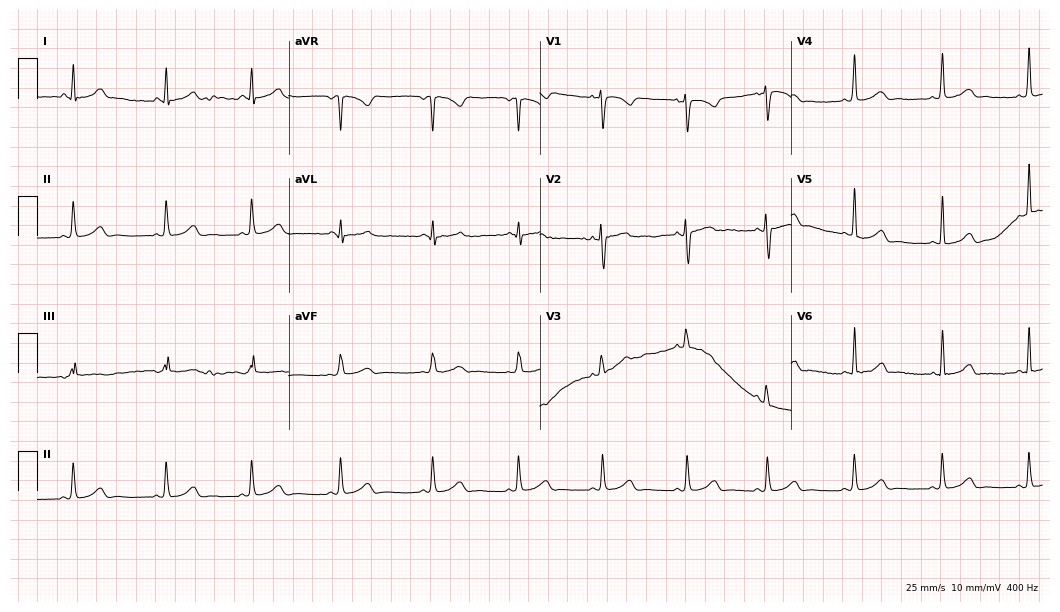
12-lead ECG (10.2-second recording at 400 Hz) from a female patient, 18 years old. Labelled as a normal ECG.